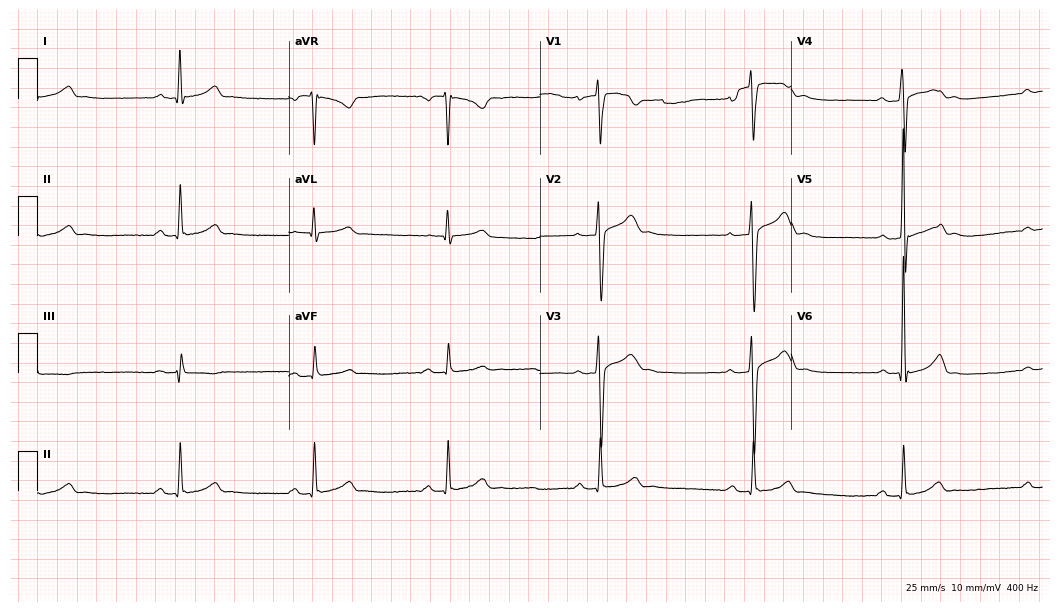
12-lead ECG from a 35-year-old male patient. Findings include sinus bradycardia (a sinus rate of 50 beats per minute or less).